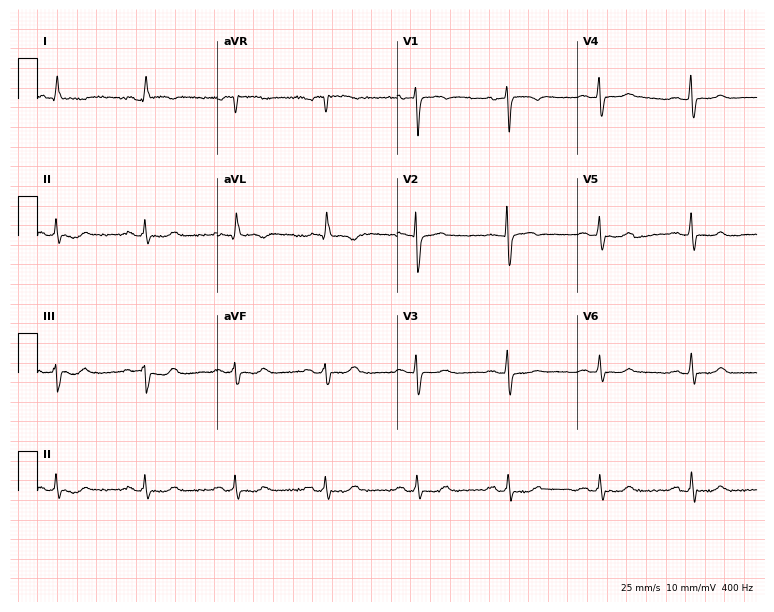
Electrocardiogram, a 73-year-old female patient. Of the six screened findings (first-degree AV block, right bundle branch block (RBBB), left bundle branch block (LBBB), sinus bradycardia, atrial fibrillation (AF), sinus tachycardia), none is recorded.